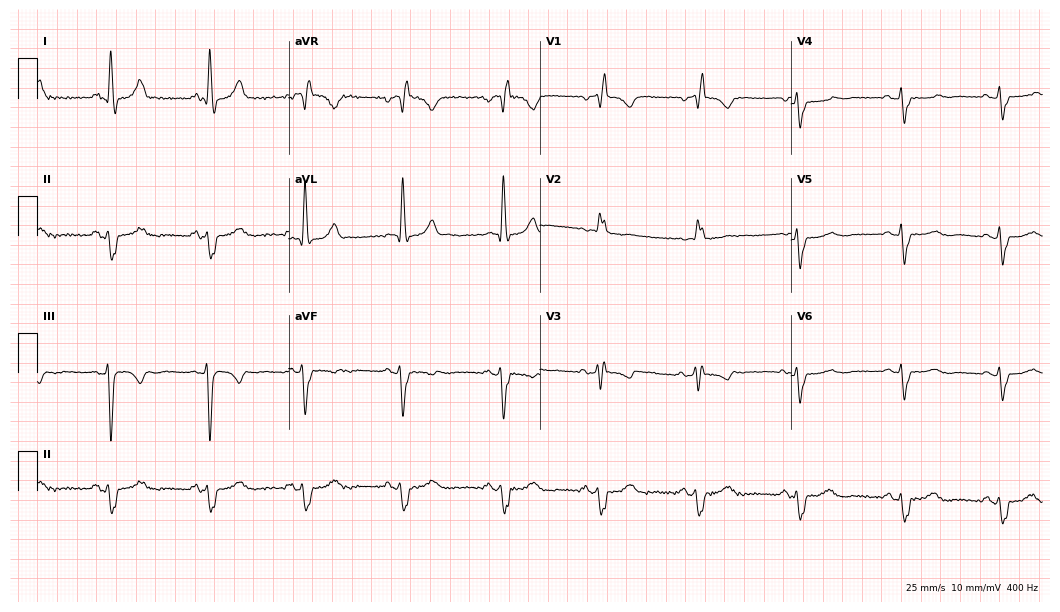
12-lead ECG from a woman, 60 years old. Findings include right bundle branch block.